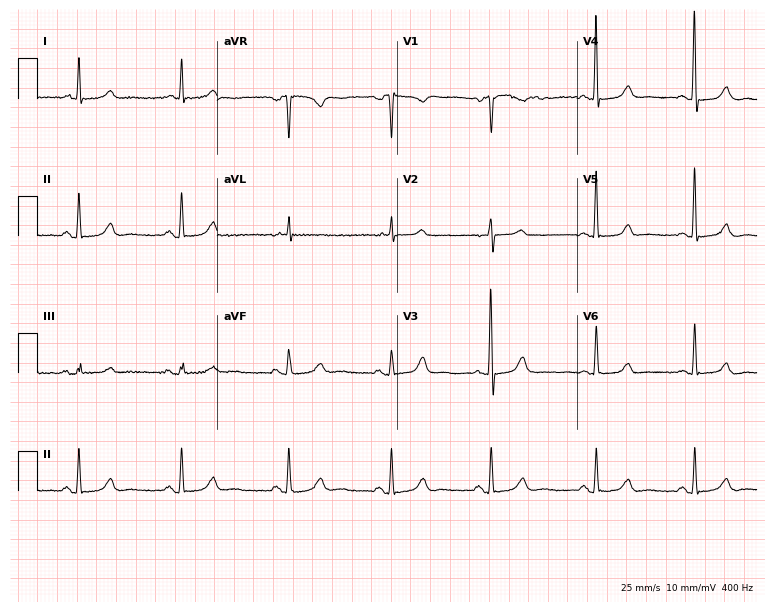
Resting 12-lead electrocardiogram (7.3-second recording at 400 Hz). Patient: a 65-year-old man. Read as a normal ECG.